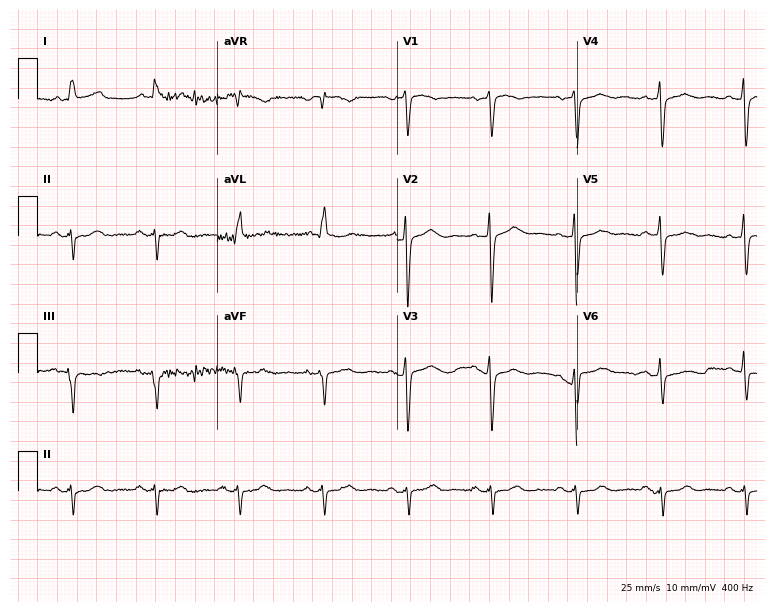
ECG (7.3-second recording at 400 Hz) — a 66-year-old female patient. Screened for six findings — first-degree AV block, right bundle branch block, left bundle branch block, sinus bradycardia, atrial fibrillation, sinus tachycardia — none is recorded.